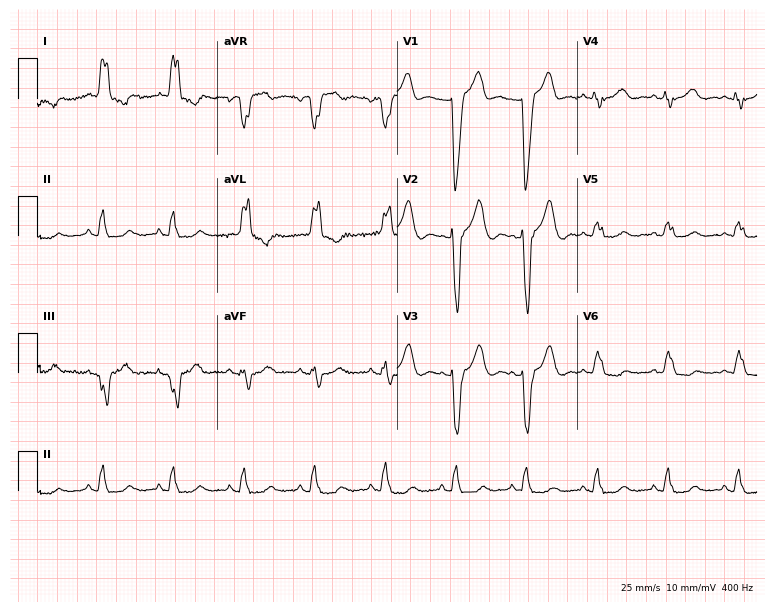
12-lead ECG from an 82-year-old female patient (7.3-second recording at 400 Hz). Shows left bundle branch block.